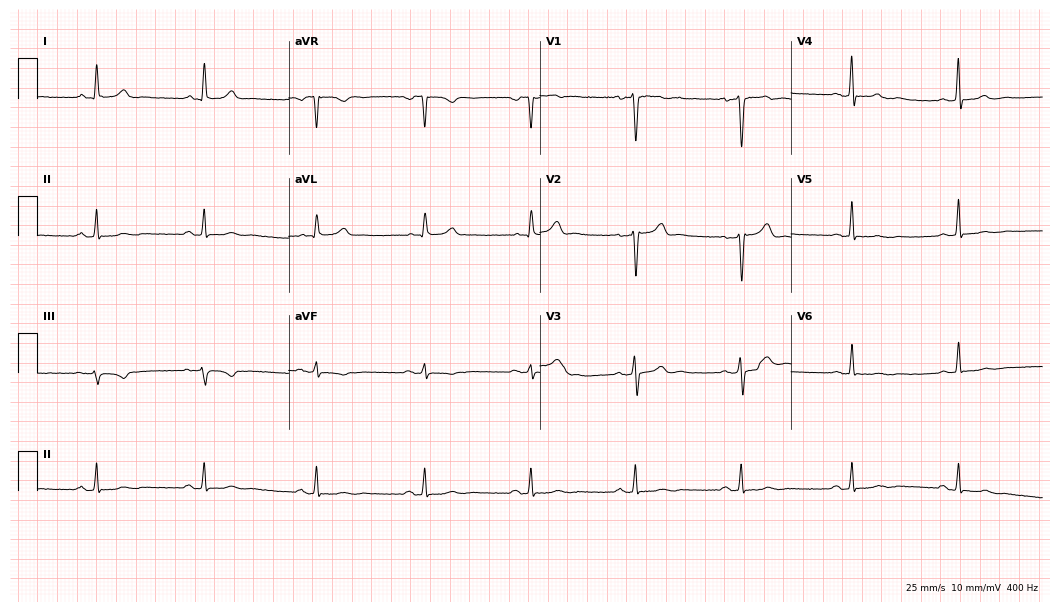
Standard 12-lead ECG recorded from a male patient, 49 years old. Read as a normal ECG.